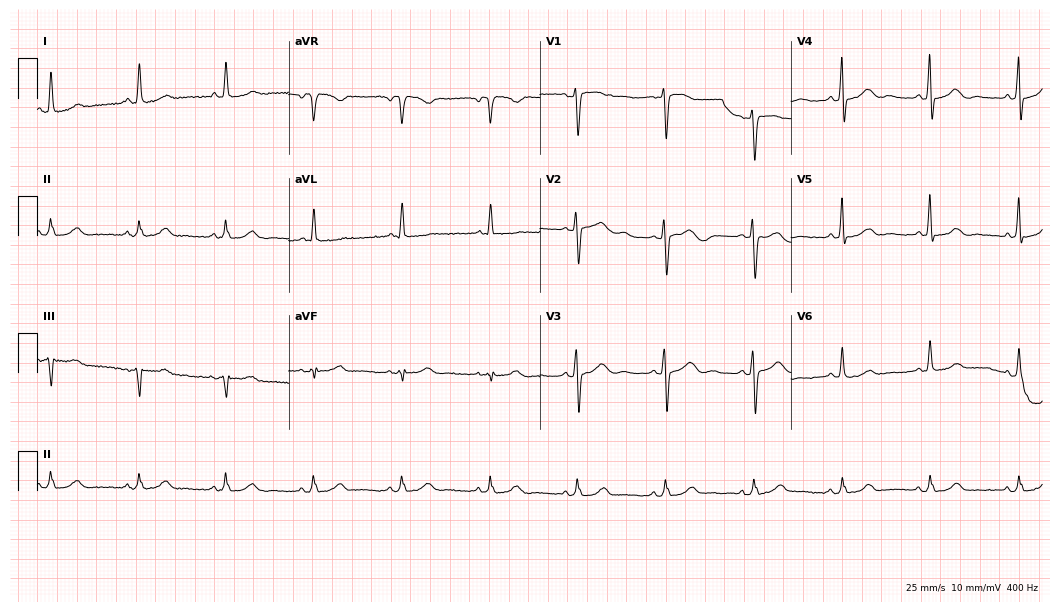
Electrocardiogram, a woman, 76 years old. Of the six screened findings (first-degree AV block, right bundle branch block, left bundle branch block, sinus bradycardia, atrial fibrillation, sinus tachycardia), none is recorded. Findings outside these six are not listed.